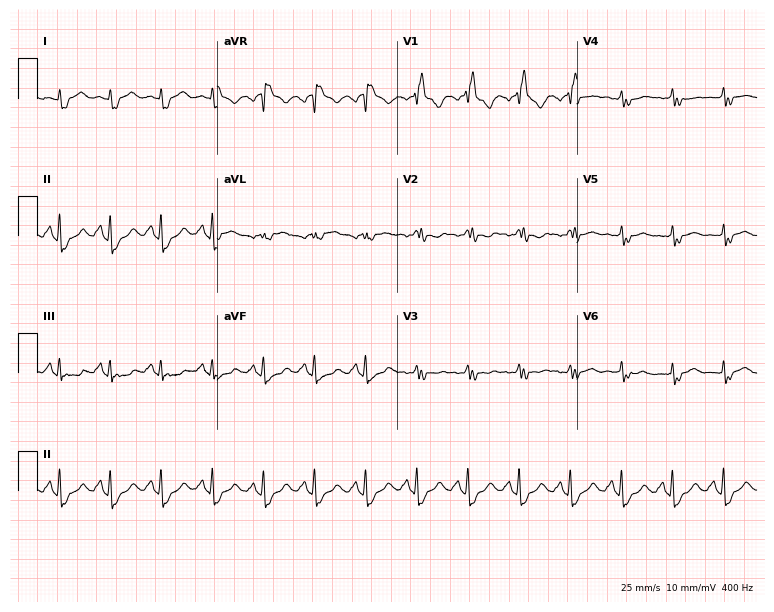
ECG (7.3-second recording at 400 Hz) — a 58-year-old male. Screened for six findings — first-degree AV block, right bundle branch block, left bundle branch block, sinus bradycardia, atrial fibrillation, sinus tachycardia — none is recorded. Other findings, if any, are not listed.